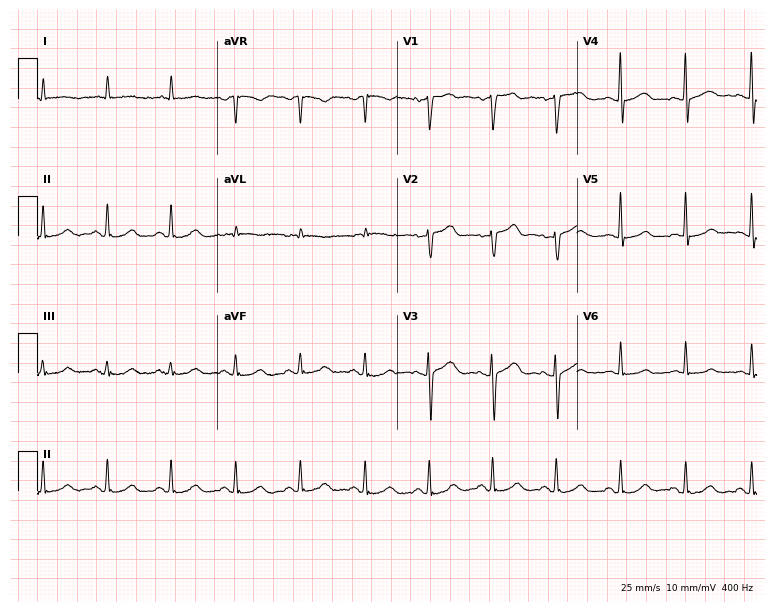
12-lead ECG from a 71-year-old man (7.3-second recording at 400 Hz). No first-degree AV block, right bundle branch block, left bundle branch block, sinus bradycardia, atrial fibrillation or sinus tachycardia recorded for this tracing. Other findings, if any, are not listed.